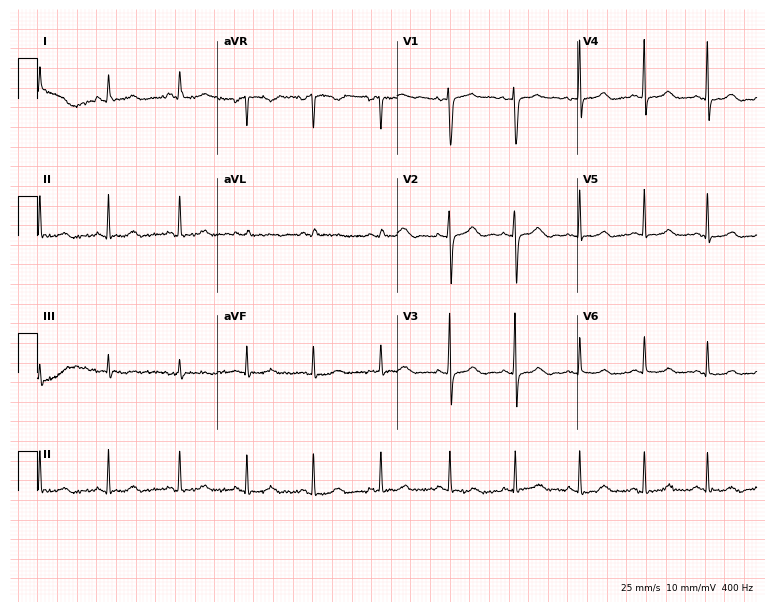
Resting 12-lead electrocardiogram (7.3-second recording at 400 Hz). Patient: a woman, 21 years old. None of these six findings is recorded: first-degree AV block, right bundle branch block (RBBB), left bundle branch block (LBBB), sinus bradycardia, atrial fibrillation (AF), sinus tachycardia. Other findings, if any, are not listed.